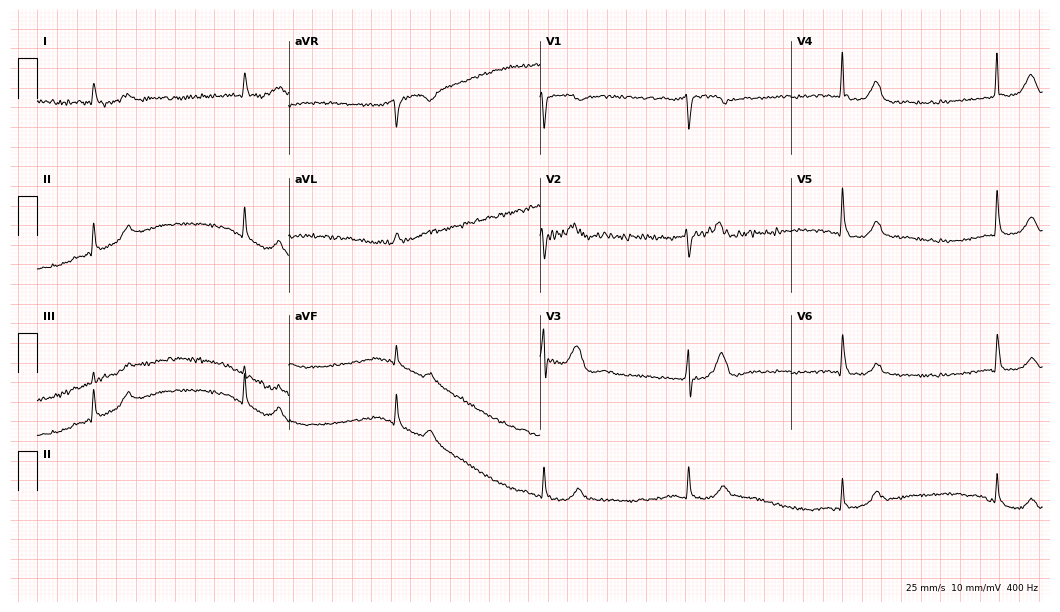
Standard 12-lead ECG recorded from a 79-year-old male (10.2-second recording at 400 Hz). None of these six findings is recorded: first-degree AV block, right bundle branch block, left bundle branch block, sinus bradycardia, atrial fibrillation, sinus tachycardia.